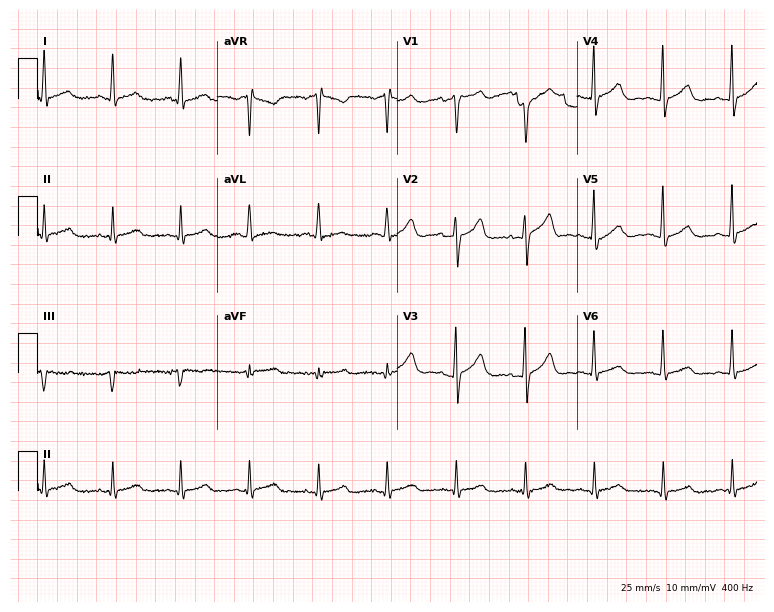
12-lead ECG from a 50-year-old male patient. Screened for six findings — first-degree AV block, right bundle branch block, left bundle branch block, sinus bradycardia, atrial fibrillation, sinus tachycardia — none is recorded.